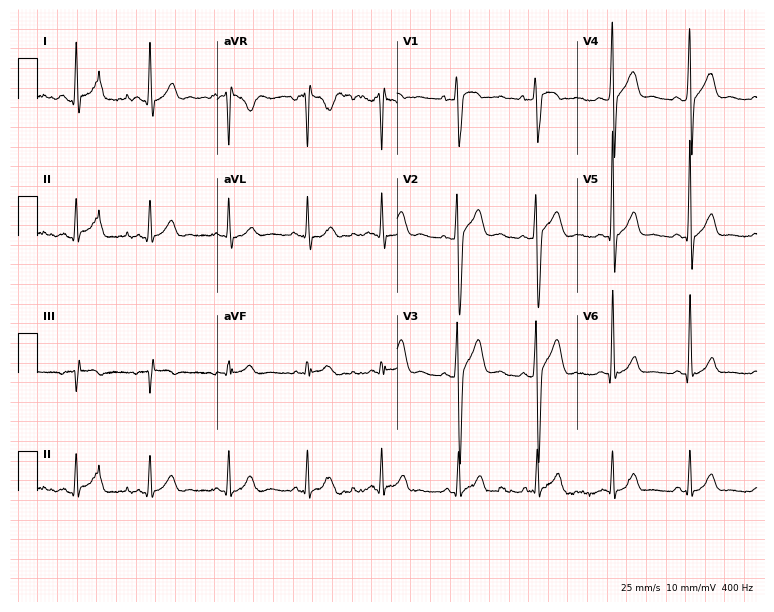
12-lead ECG (7.3-second recording at 400 Hz) from a male, 20 years old. Labelled as a normal ECG.